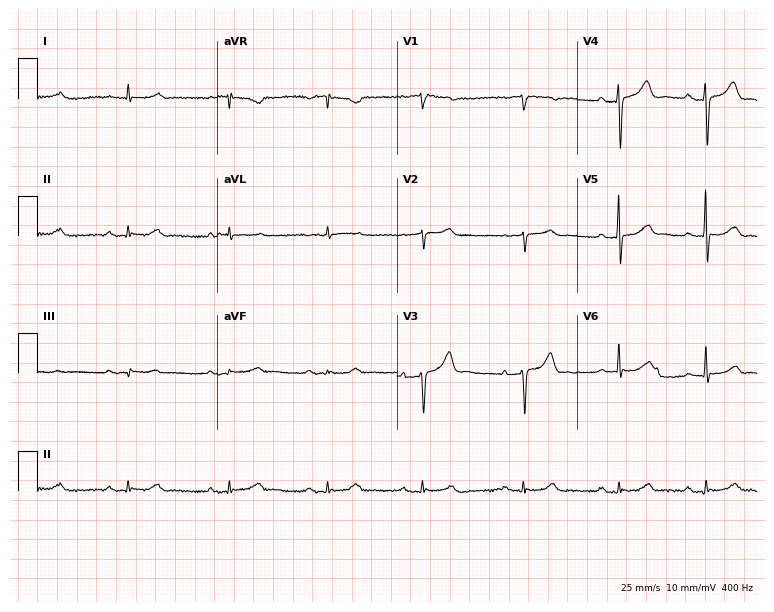
Electrocardiogram (7.3-second recording at 400 Hz), an 85-year-old male. Overall reading on record: normal ECG.